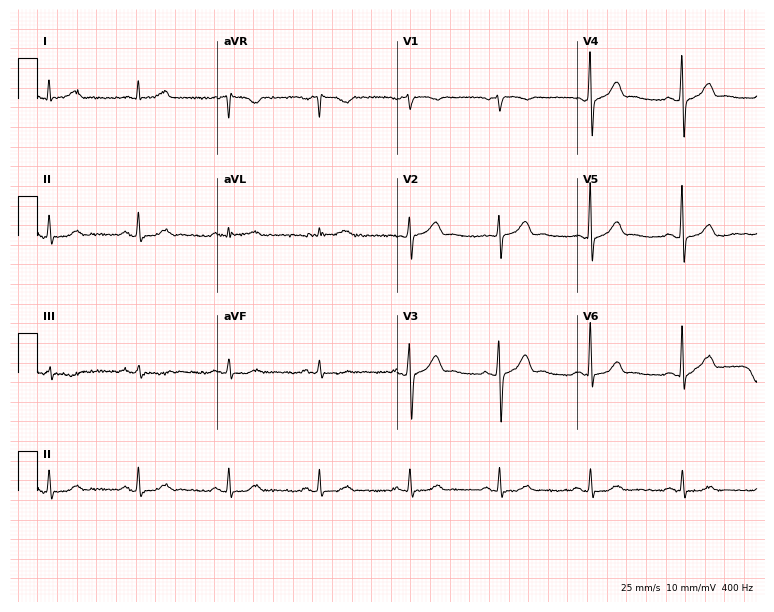
Standard 12-lead ECG recorded from a man, 82 years old. Read as a normal ECG.